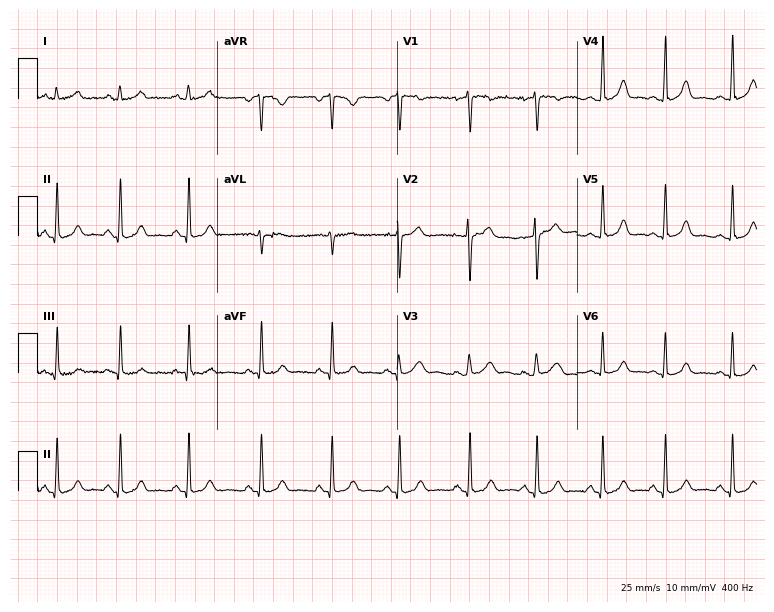
Standard 12-lead ECG recorded from a female, 21 years old. Read as a normal ECG.